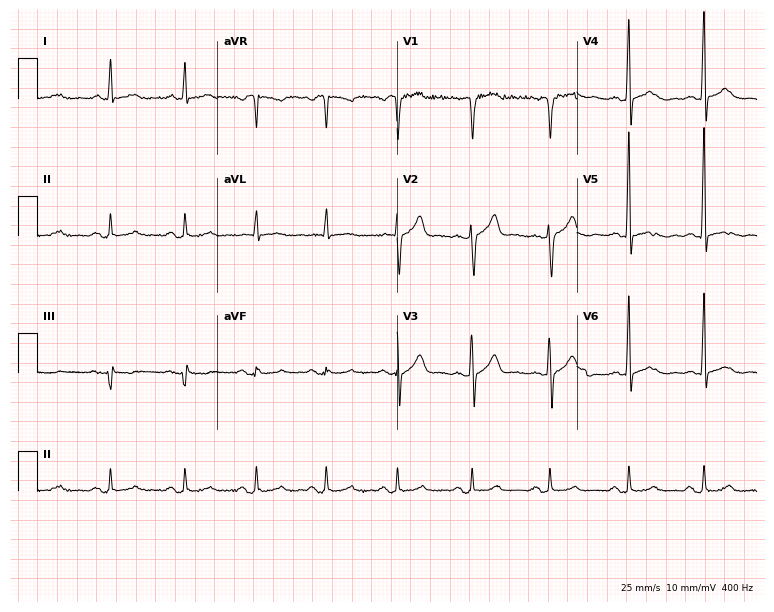
Standard 12-lead ECG recorded from a man, 62 years old (7.3-second recording at 400 Hz). None of these six findings is recorded: first-degree AV block, right bundle branch block, left bundle branch block, sinus bradycardia, atrial fibrillation, sinus tachycardia. Other findings, if any, are not listed.